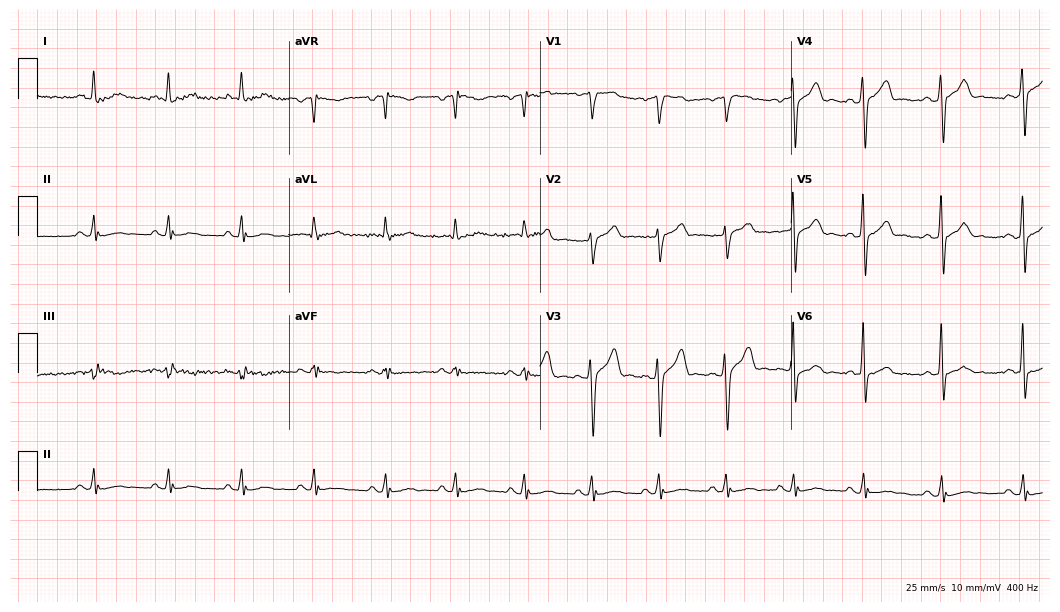
12-lead ECG from a 44-year-old male. Screened for six findings — first-degree AV block, right bundle branch block, left bundle branch block, sinus bradycardia, atrial fibrillation, sinus tachycardia — none is recorded. Other findings, if any, are not listed.